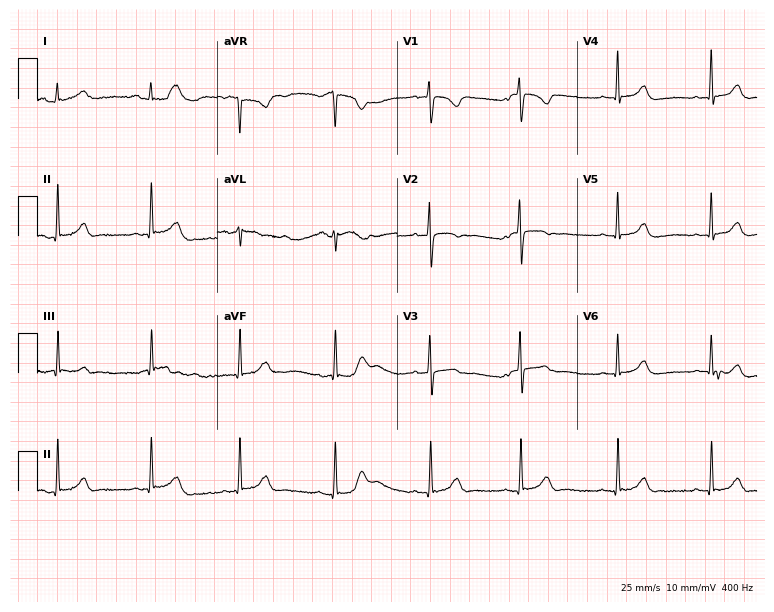
12-lead ECG from a 22-year-old woman. Recorded interpretation: within normal limits.